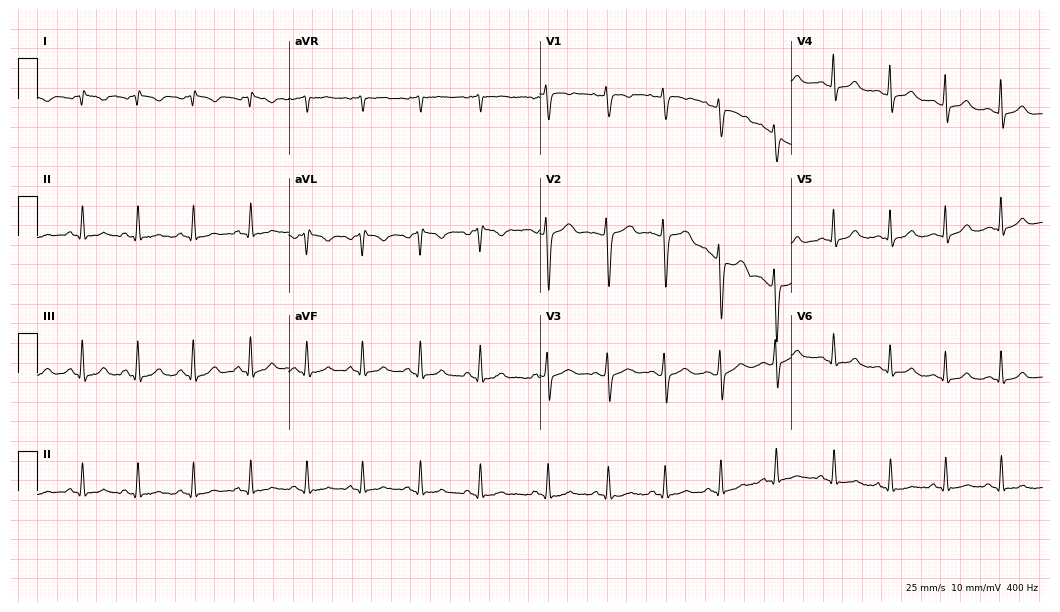
ECG (10.2-second recording at 400 Hz) — a female, 30 years old. Screened for six findings — first-degree AV block, right bundle branch block, left bundle branch block, sinus bradycardia, atrial fibrillation, sinus tachycardia — none is recorded. Other findings, if any, are not listed.